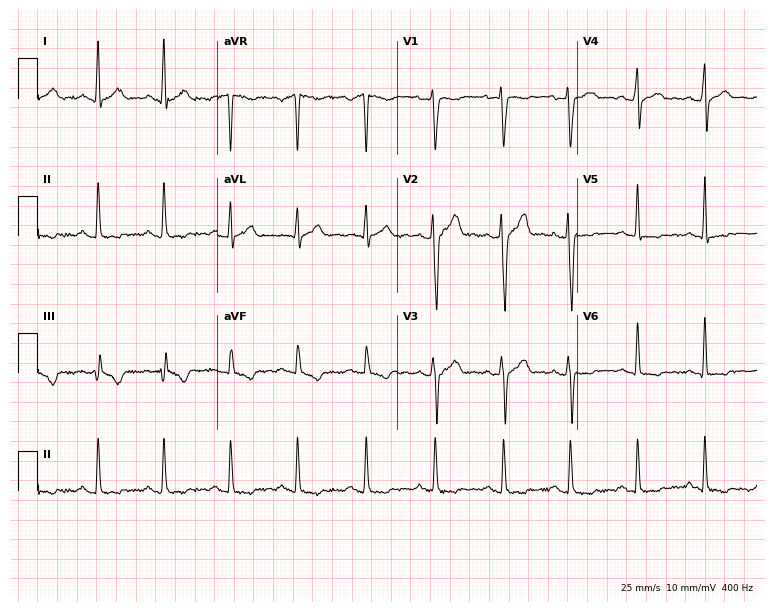
12-lead ECG (7.3-second recording at 400 Hz) from a 38-year-old male patient. Screened for six findings — first-degree AV block, right bundle branch block (RBBB), left bundle branch block (LBBB), sinus bradycardia, atrial fibrillation (AF), sinus tachycardia — none is recorded. Findings outside these six are not listed.